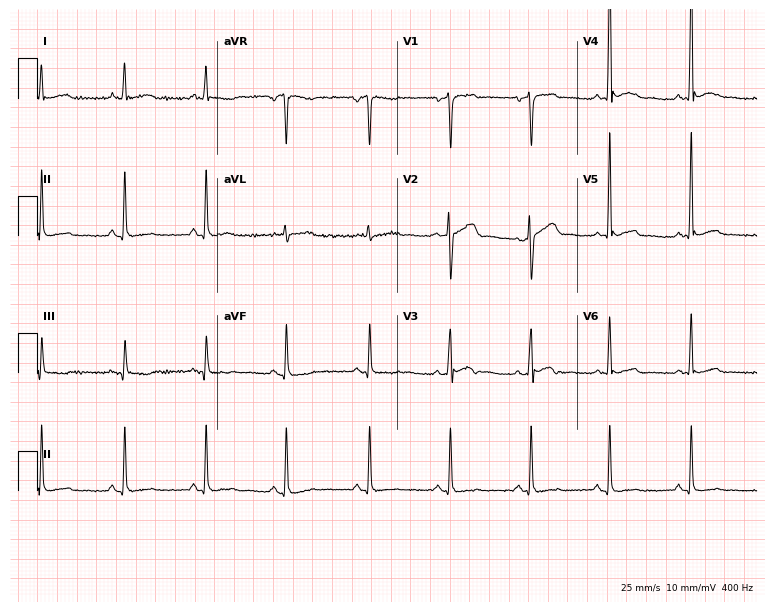
12-lead ECG from a 65-year-old male. Screened for six findings — first-degree AV block, right bundle branch block, left bundle branch block, sinus bradycardia, atrial fibrillation, sinus tachycardia — none is recorded. Findings outside these six are not listed.